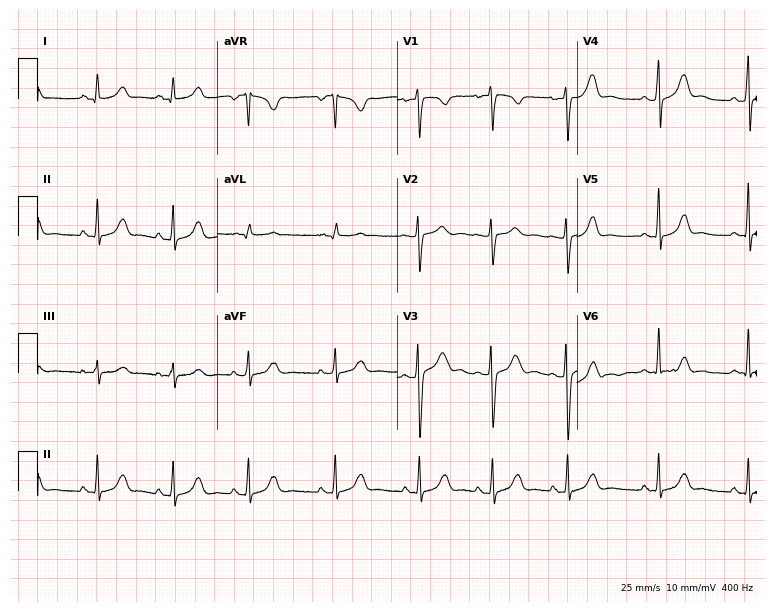
12-lead ECG (7.3-second recording at 400 Hz) from a 26-year-old female patient. Labelled as a normal ECG.